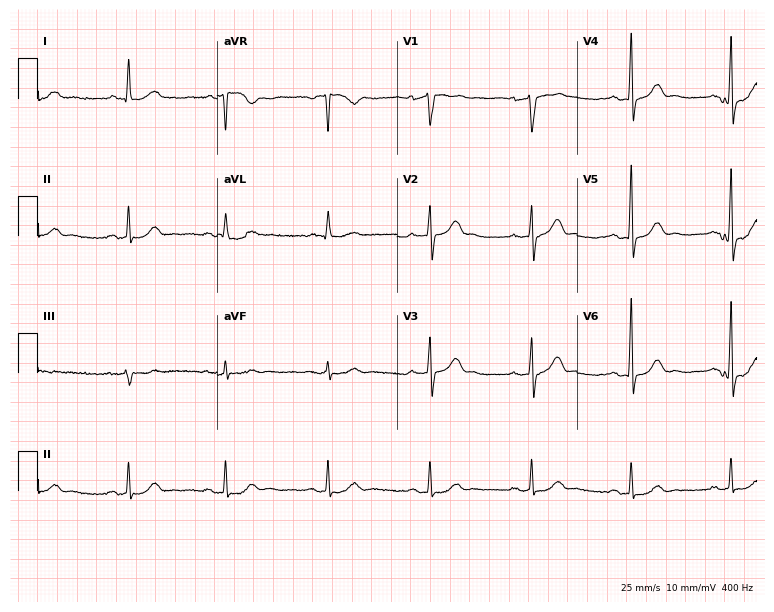
ECG — a male patient, 63 years old. Labelled as a normal ECG.